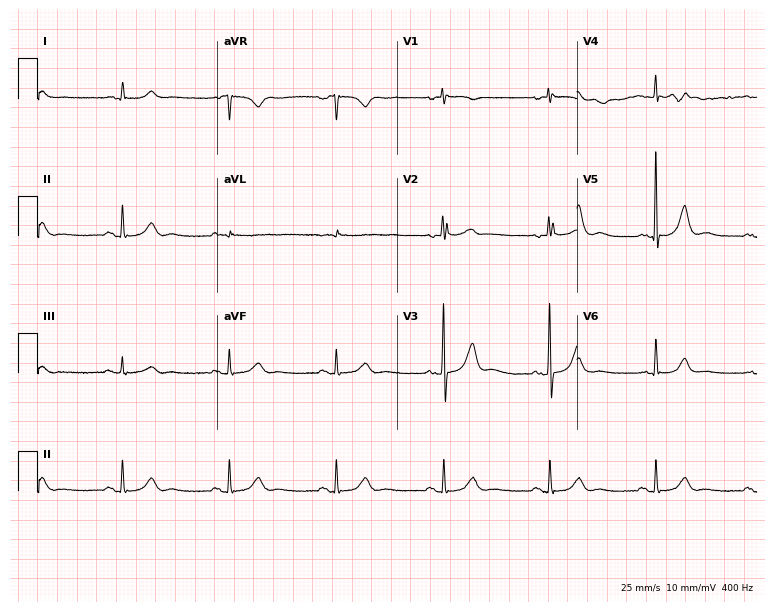
12-lead ECG from a 52-year-old female. Labelled as a normal ECG.